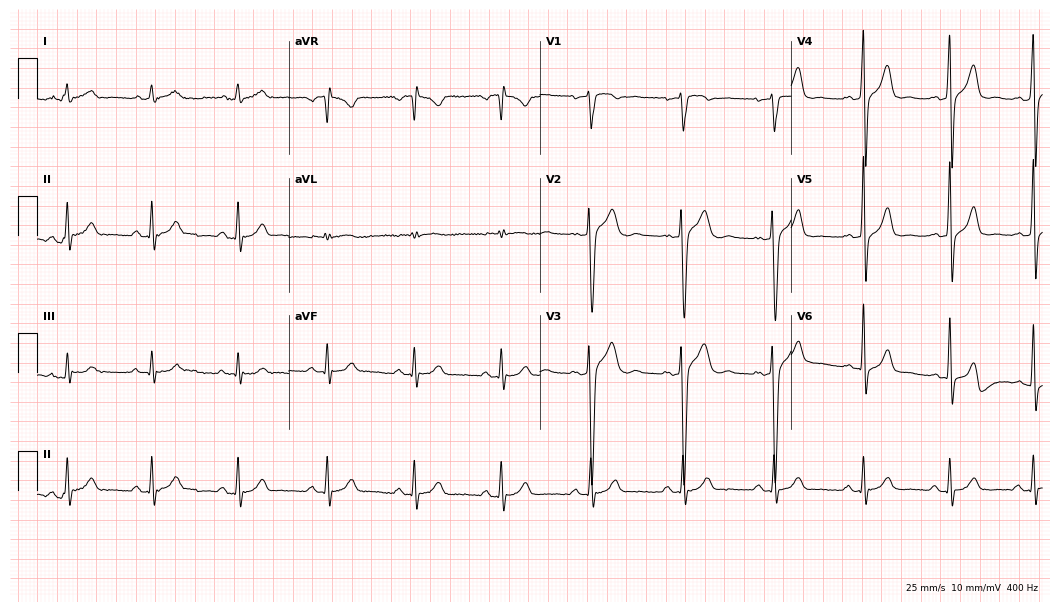
12-lead ECG from a 31-year-old woman (10.2-second recording at 400 Hz). Recorded interpretation: within normal limits.